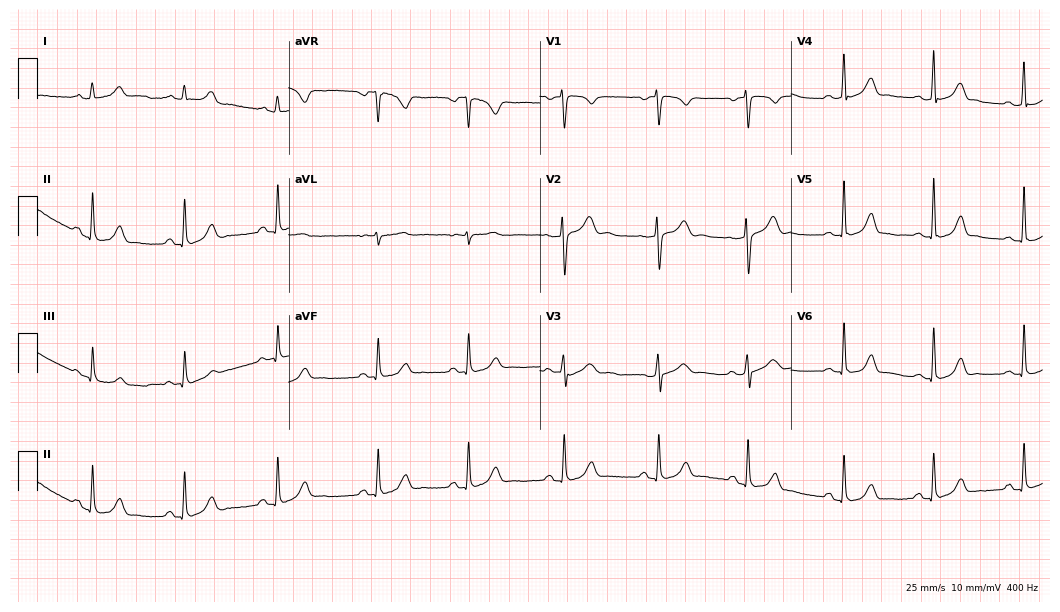
ECG — a 29-year-old woman. Labelled as a normal ECG.